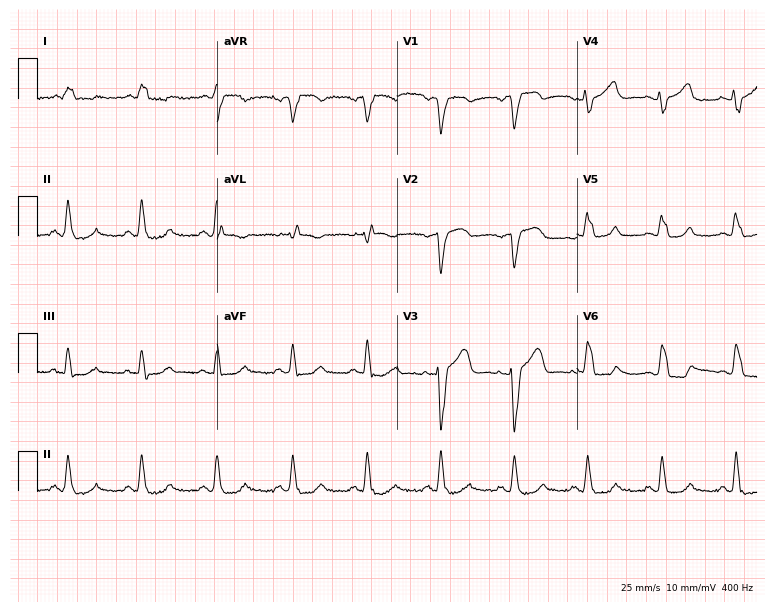
12-lead ECG (7.3-second recording at 400 Hz) from a female, 72 years old. Findings include left bundle branch block.